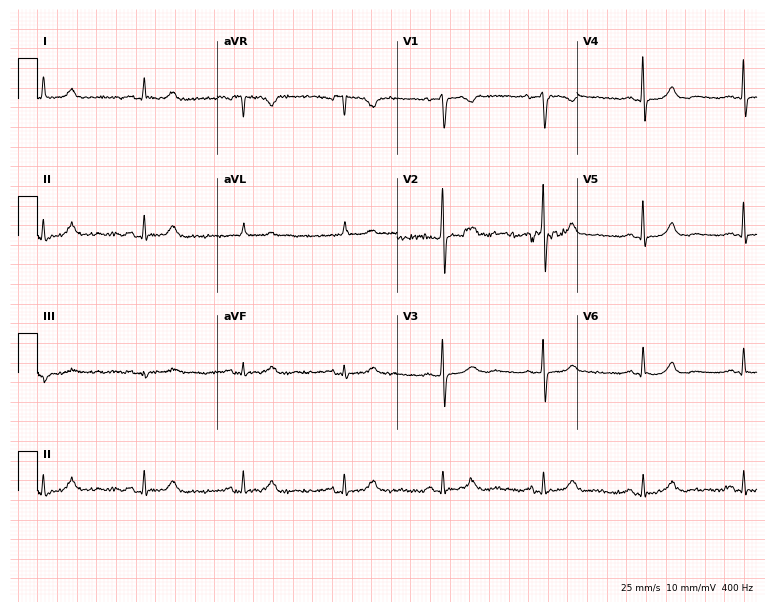
12-lead ECG from a female patient, 74 years old. Labelled as a normal ECG.